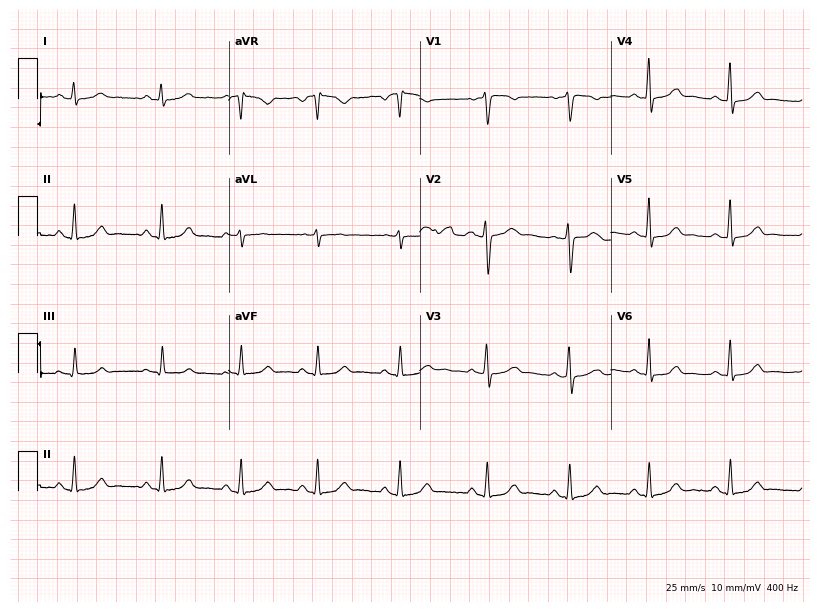
Electrocardiogram, a female, 35 years old. Overall reading on record: normal ECG.